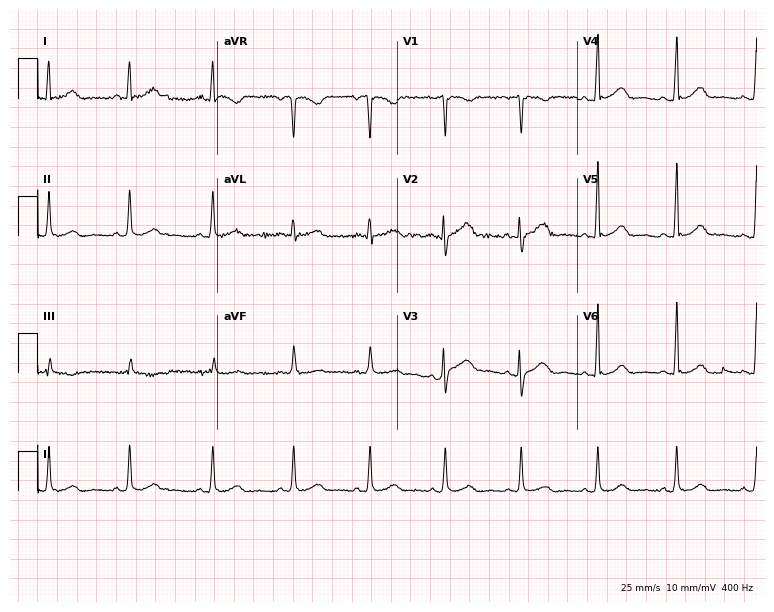
12-lead ECG from a female, 35 years old. Recorded interpretation: within normal limits.